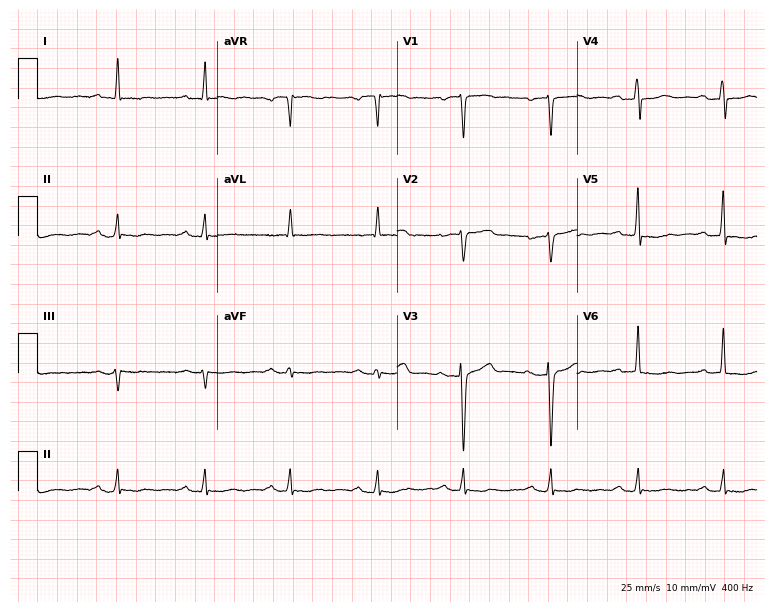
12-lead ECG from a female, 51 years old. Labelled as a normal ECG.